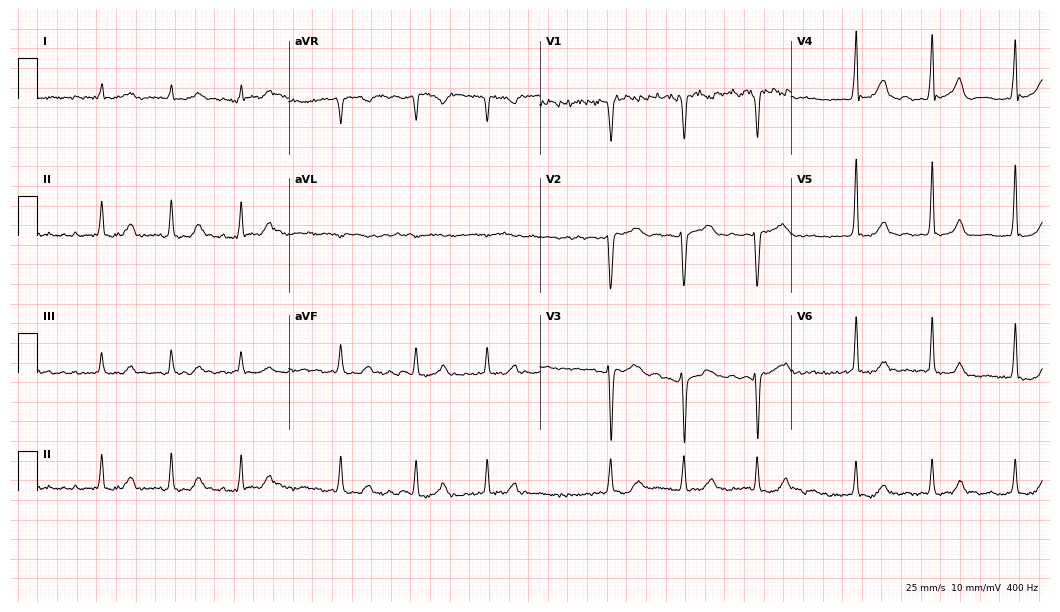
12-lead ECG from a man, 44 years old. Findings include atrial fibrillation (AF).